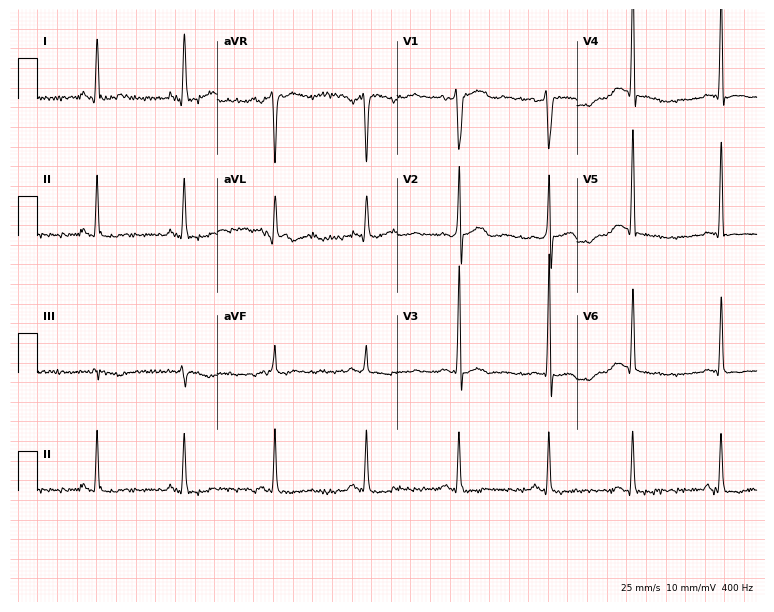
12-lead ECG from a man, 38 years old. No first-degree AV block, right bundle branch block, left bundle branch block, sinus bradycardia, atrial fibrillation or sinus tachycardia recorded for this tracing.